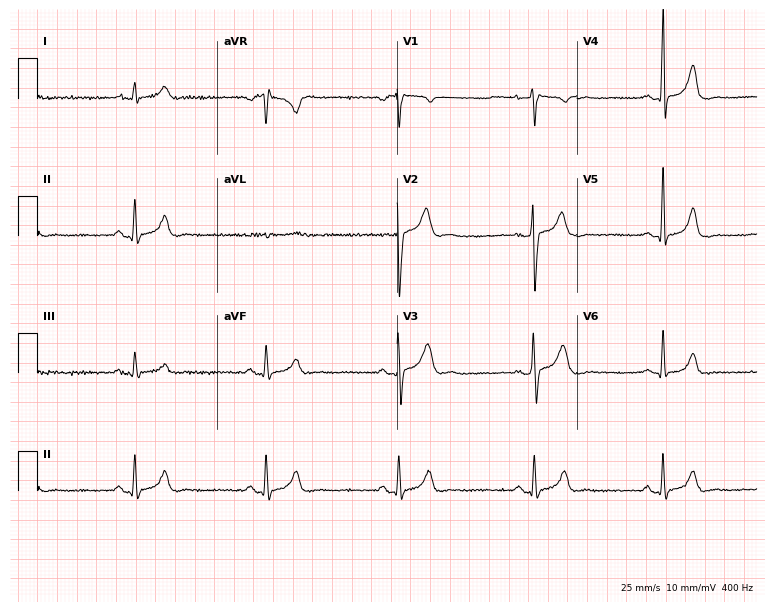
Standard 12-lead ECG recorded from a male patient, 30 years old (7.3-second recording at 400 Hz). The tracing shows sinus bradycardia (a sinus rate of 50 beats per minute or less).